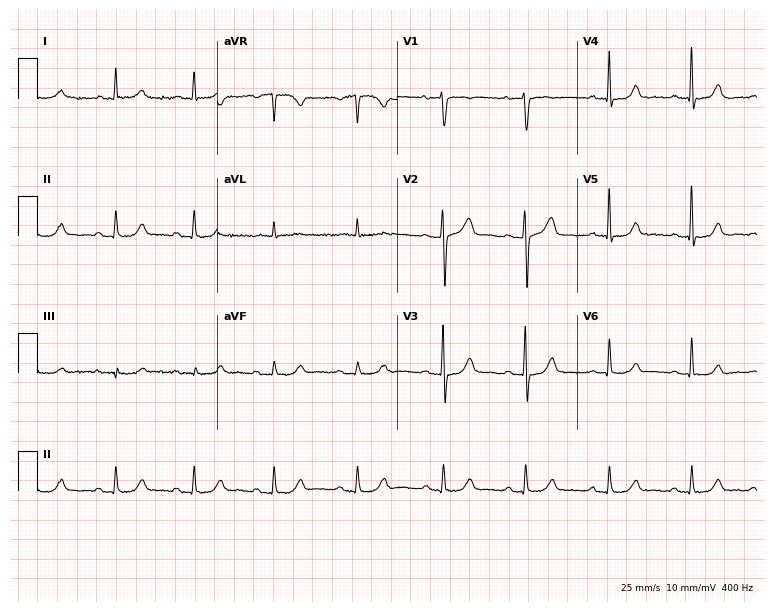
Electrocardiogram, a woman, 76 years old. Overall reading on record: normal ECG.